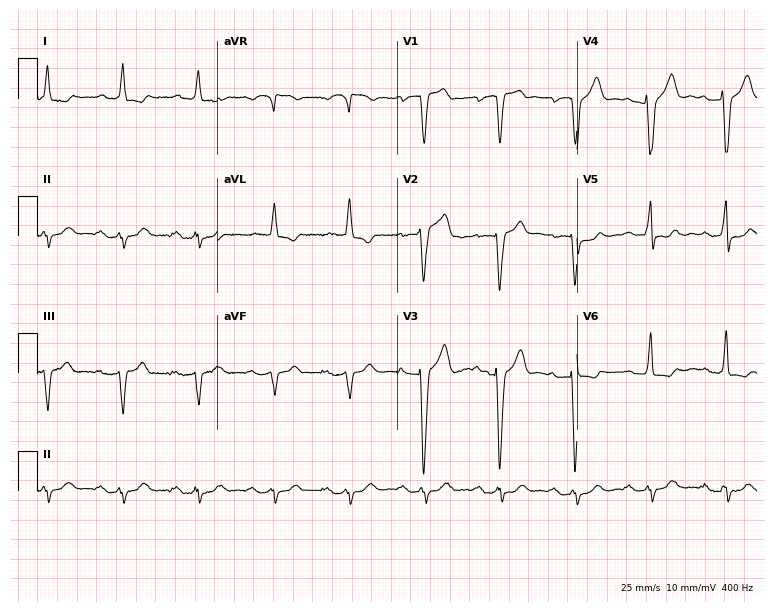
Electrocardiogram, a male, 79 years old. Of the six screened findings (first-degree AV block, right bundle branch block (RBBB), left bundle branch block (LBBB), sinus bradycardia, atrial fibrillation (AF), sinus tachycardia), none is recorded.